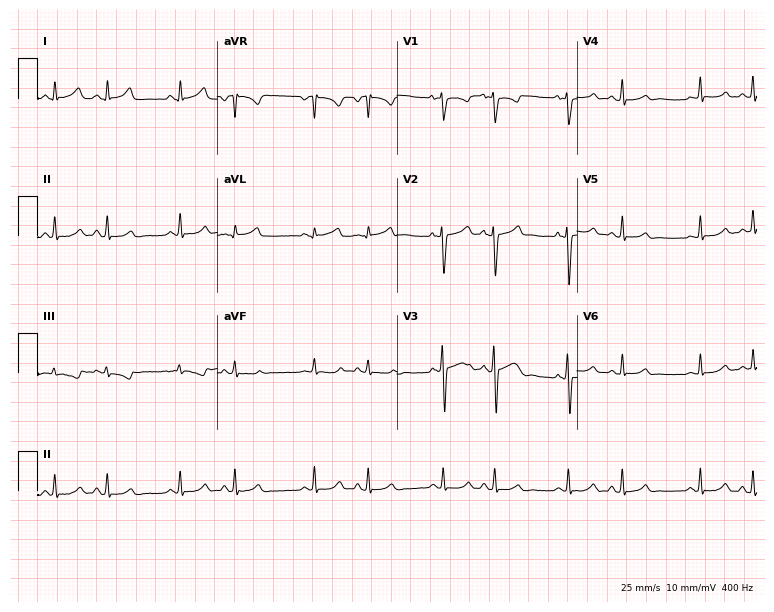
12-lead ECG (7.3-second recording at 400 Hz) from a woman, 24 years old. Screened for six findings — first-degree AV block, right bundle branch block, left bundle branch block, sinus bradycardia, atrial fibrillation, sinus tachycardia — none is recorded. Only these six findings were labelled.